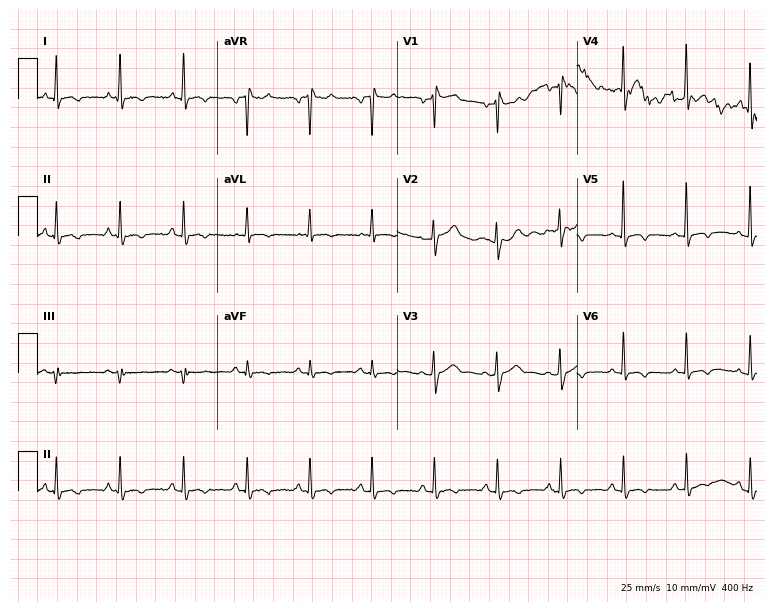
12-lead ECG from a 61-year-old male patient. No first-degree AV block, right bundle branch block, left bundle branch block, sinus bradycardia, atrial fibrillation or sinus tachycardia recorded for this tracing.